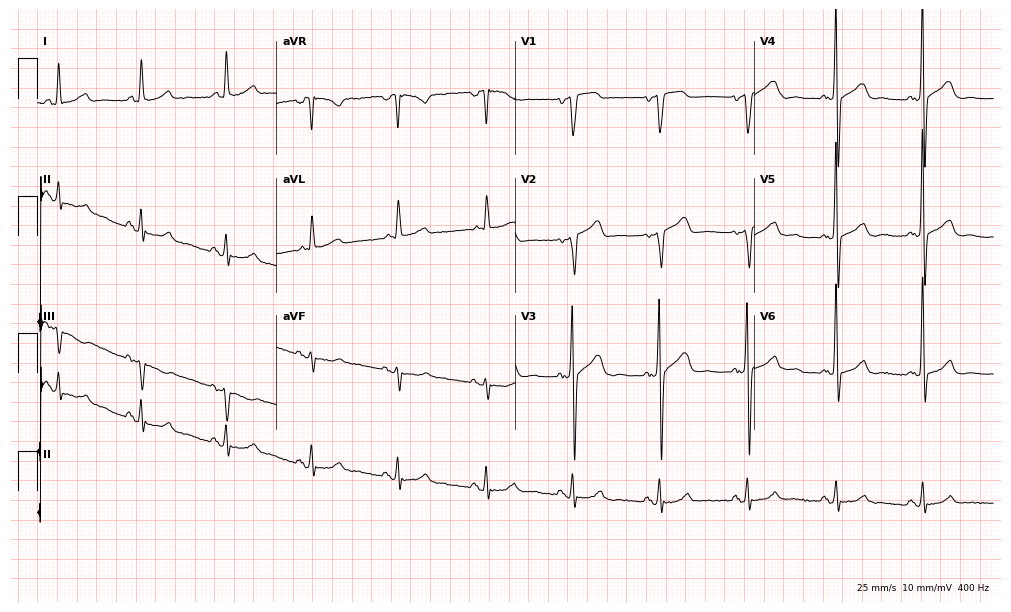
ECG — a 68-year-old man. Labelled as a normal ECG.